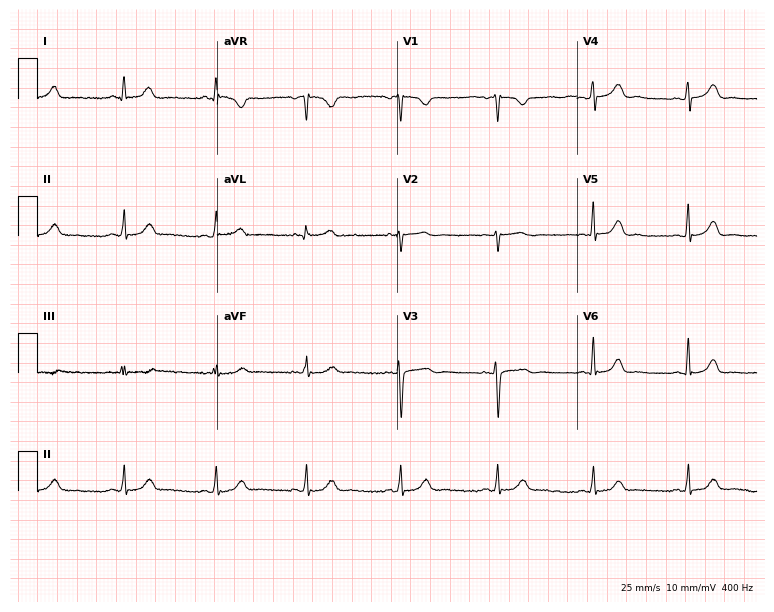
Electrocardiogram (7.3-second recording at 400 Hz), a 39-year-old woman. Overall reading on record: normal ECG.